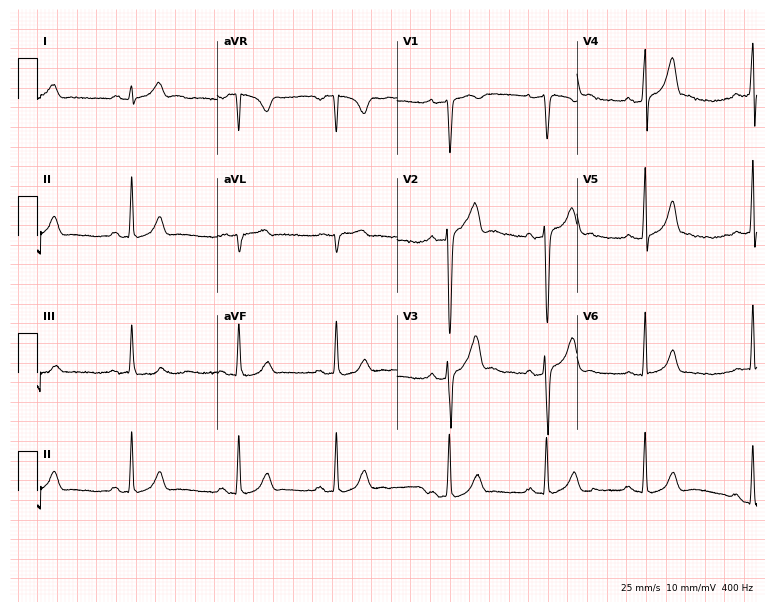
12-lead ECG from a 22-year-old male patient (7.3-second recording at 400 Hz). No first-degree AV block, right bundle branch block, left bundle branch block, sinus bradycardia, atrial fibrillation or sinus tachycardia recorded for this tracing.